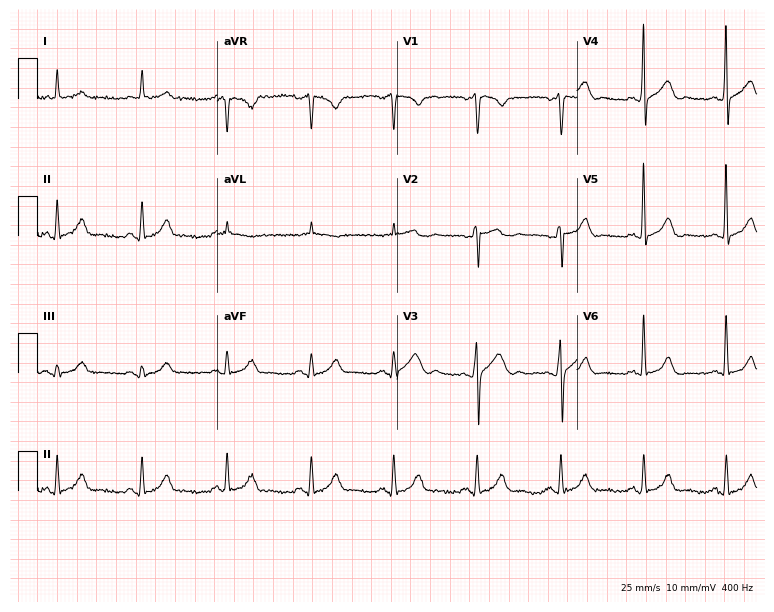
12-lead ECG (7.3-second recording at 400 Hz) from a male patient, 34 years old. Screened for six findings — first-degree AV block, right bundle branch block, left bundle branch block, sinus bradycardia, atrial fibrillation, sinus tachycardia — none is recorded.